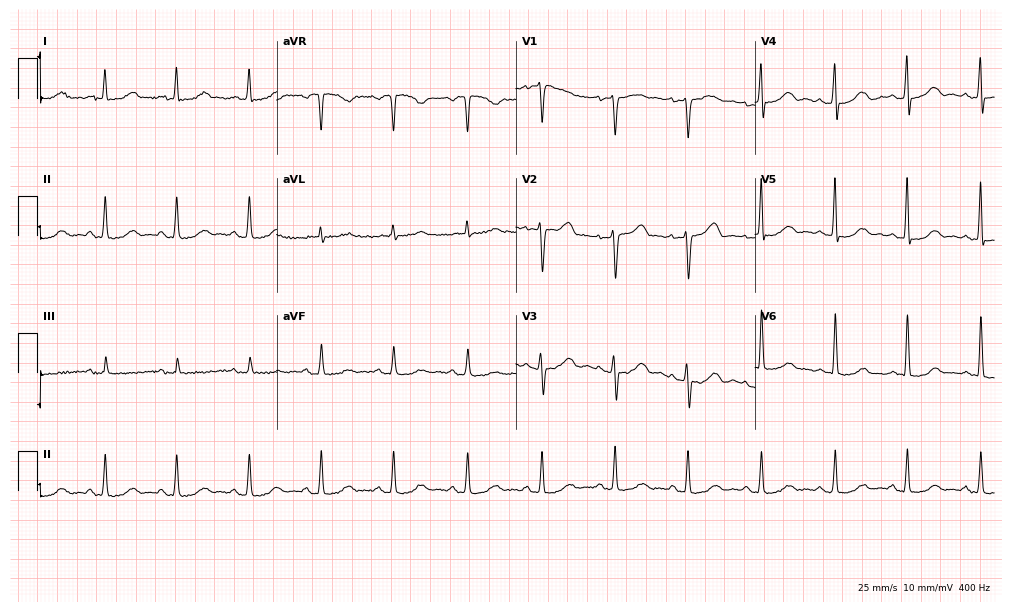
12-lead ECG from a female, 73 years old. Recorded interpretation: within normal limits.